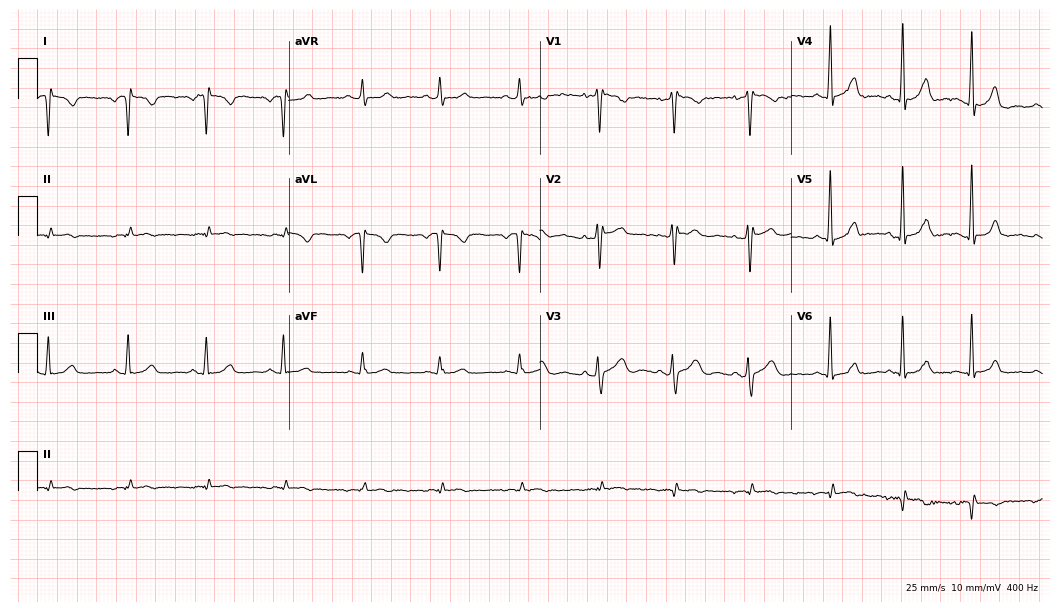
12-lead ECG from a 29-year-old female patient. No first-degree AV block, right bundle branch block, left bundle branch block, sinus bradycardia, atrial fibrillation or sinus tachycardia recorded for this tracing.